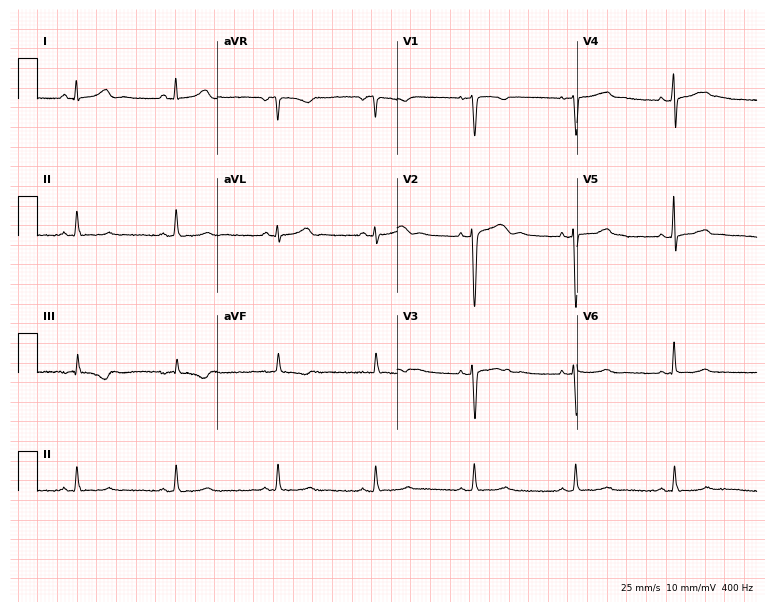
Standard 12-lead ECG recorded from a woman, 39 years old (7.3-second recording at 400 Hz). None of these six findings is recorded: first-degree AV block, right bundle branch block, left bundle branch block, sinus bradycardia, atrial fibrillation, sinus tachycardia.